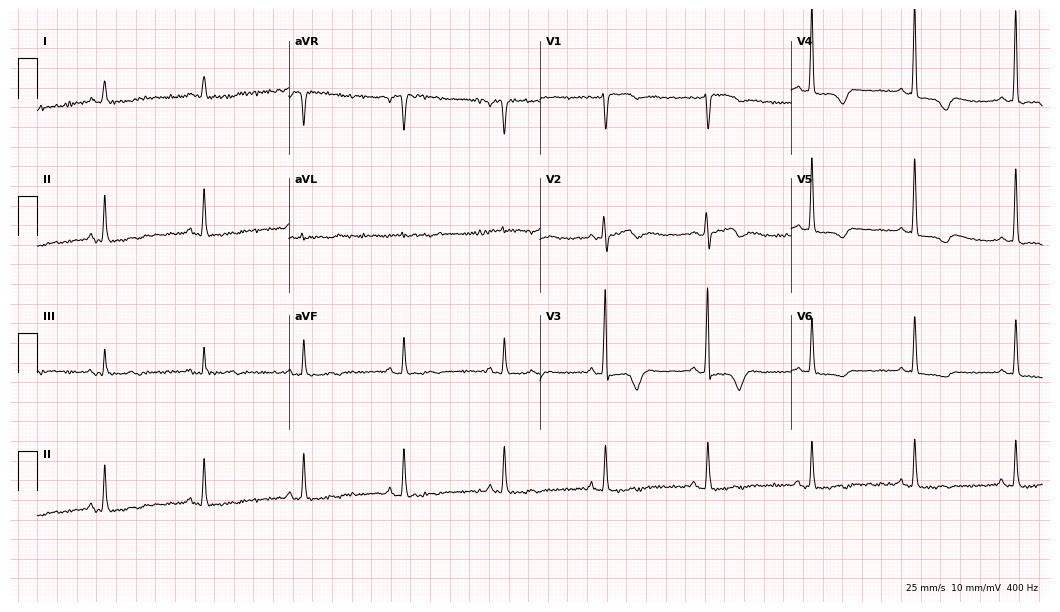
Standard 12-lead ECG recorded from a female, 67 years old (10.2-second recording at 400 Hz). None of these six findings is recorded: first-degree AV block, right bundle branch block (RBBB), left bundle branch block (LBBB), sinus bradycardia, atrial fibrillation (AF), sinus tachycardia.